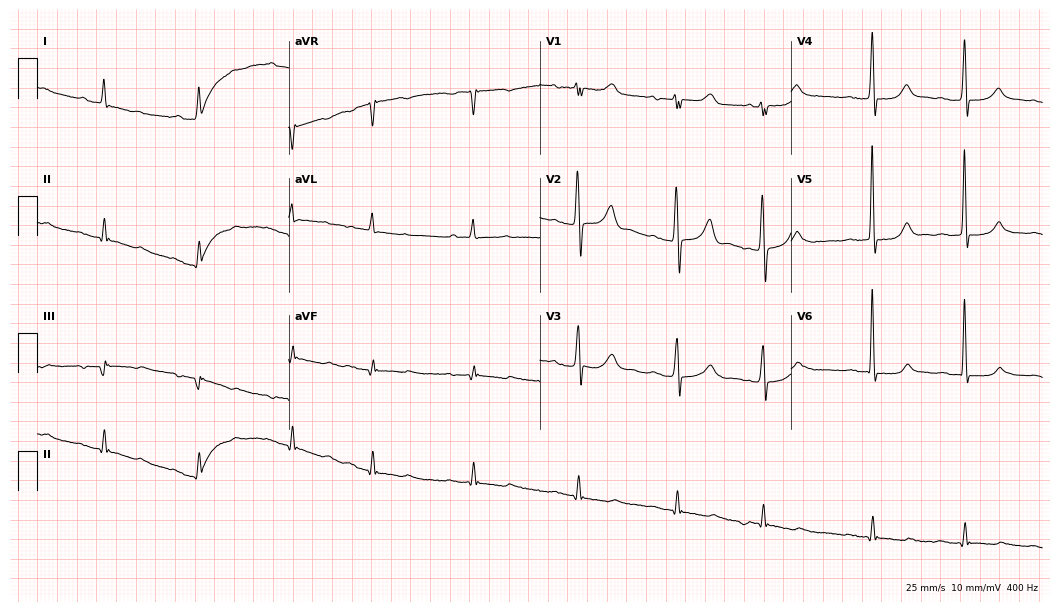
12-lead ECG from a female, 83 years old (10.2-second recording at 400 Hz). No first-degree AV block, right bundle branch block (RBBB), left bundle branch block (LBBB), sinus bradycardia, atrial fibrillation (AF) or sinus tachycardia recorded for this tracing. Findings outside these six are not listed.